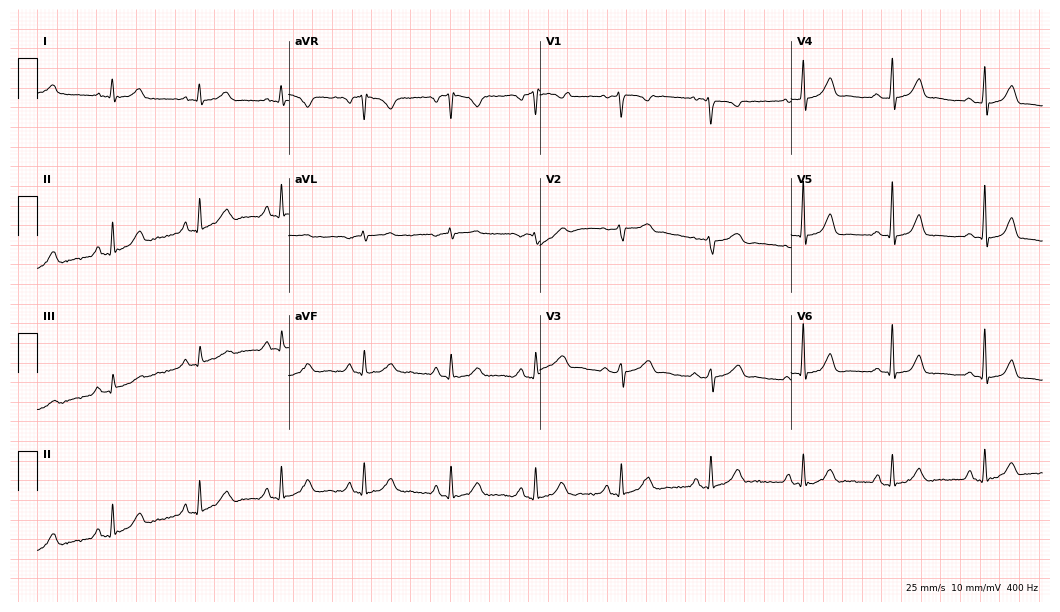
Electrocardiogram (10.2-second recording at 400 Hz), a woman, 41 years old. Overall reading on record: normal ECG.